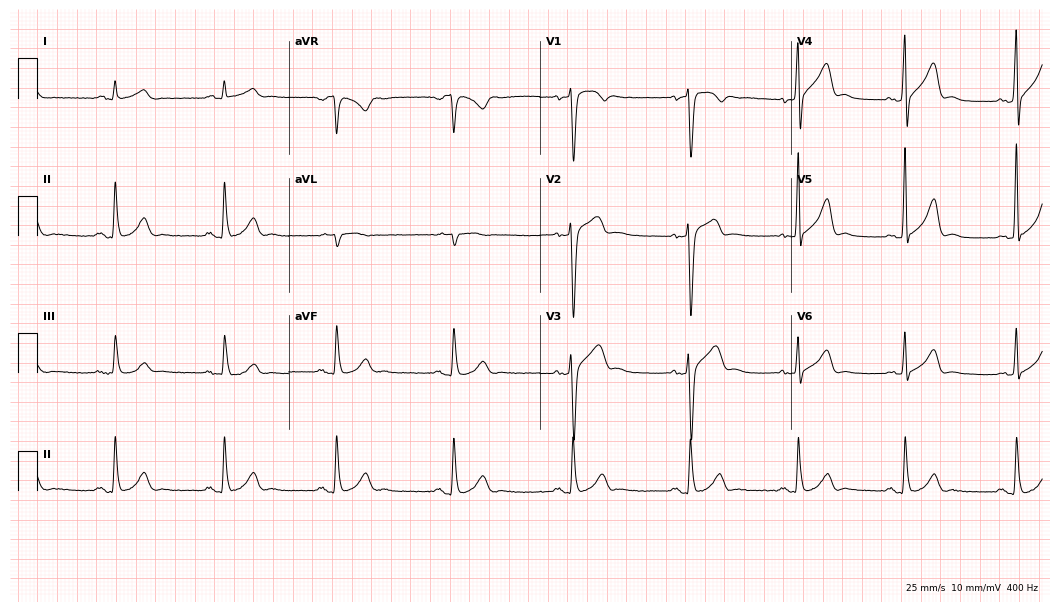
ECG (10.2-second recording at 400 Hz) — a male, 48 years old. Screened for six findings — first-degree AV block, right bundle branch block, left bundle branch block, sinus bradycardia, atrial fibrillation, sinus tachycardia — none is recorded.